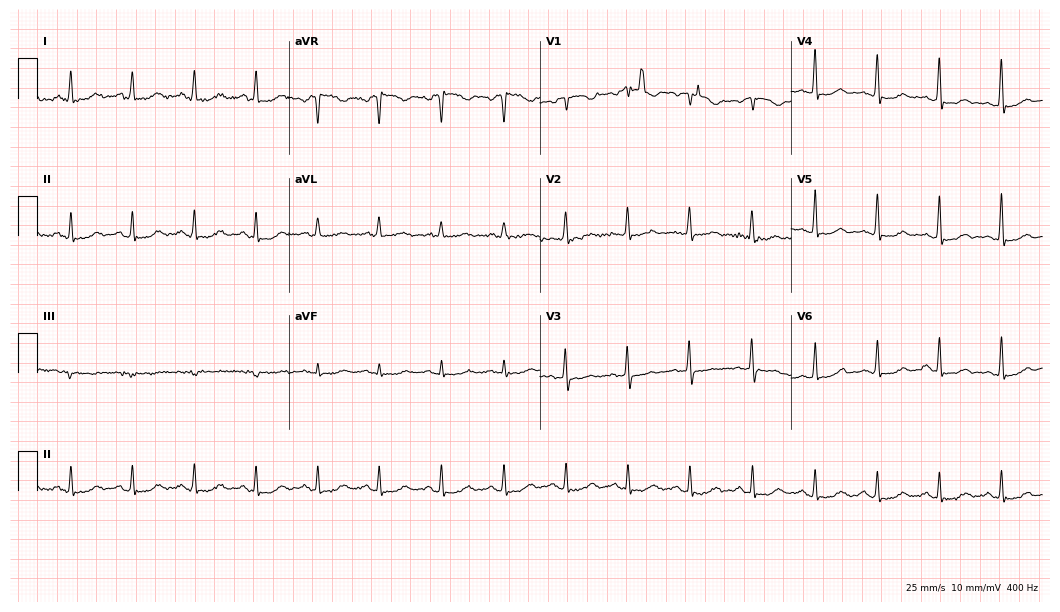
ECG (10.2-second recording at 400 Hz) — a 57-year-old woman. Screened for six findings — first-degree AV block, right bundle branch block, left bundle branch block, sinus bradycardia, atrial fibrillation, sinus tachycardia — none is recorded. Only these six findings were labelled.